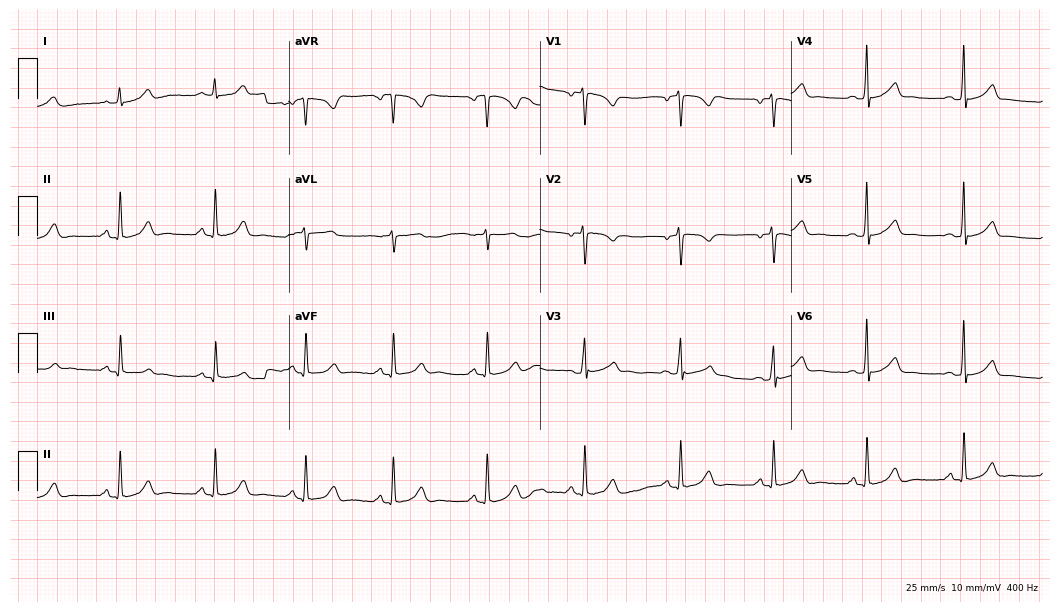
12-lead ECG from a female, 31 years old (10.2-second recording at 400 Hz). Recorded interpretation: within normal limits.